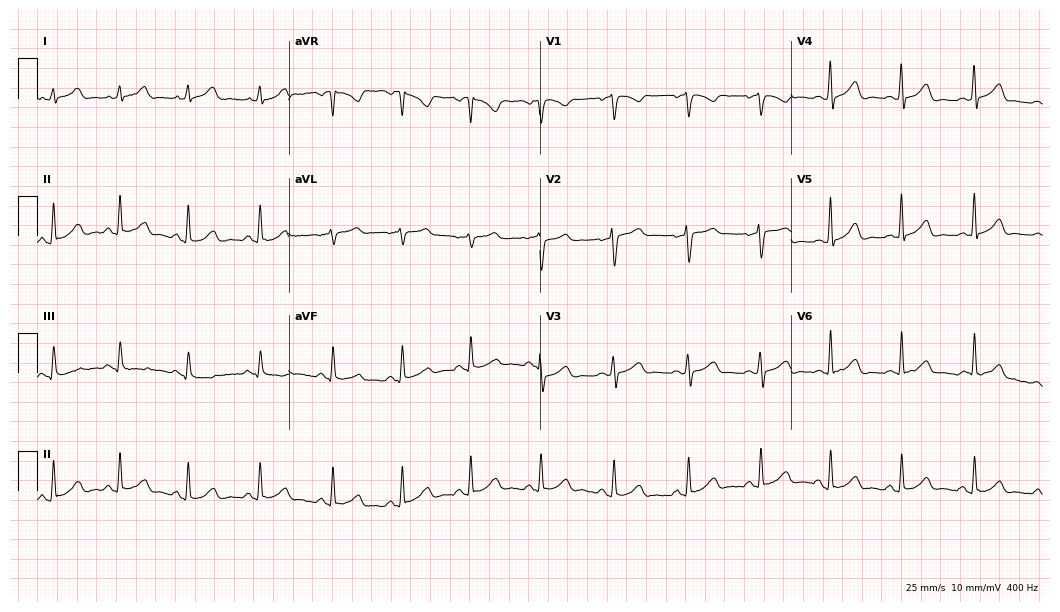
Resting 12-lead electrocardiogram (10.2-second recording at 400 Hz). Patient: a 35-year-old woman. Read as a normal ECG.